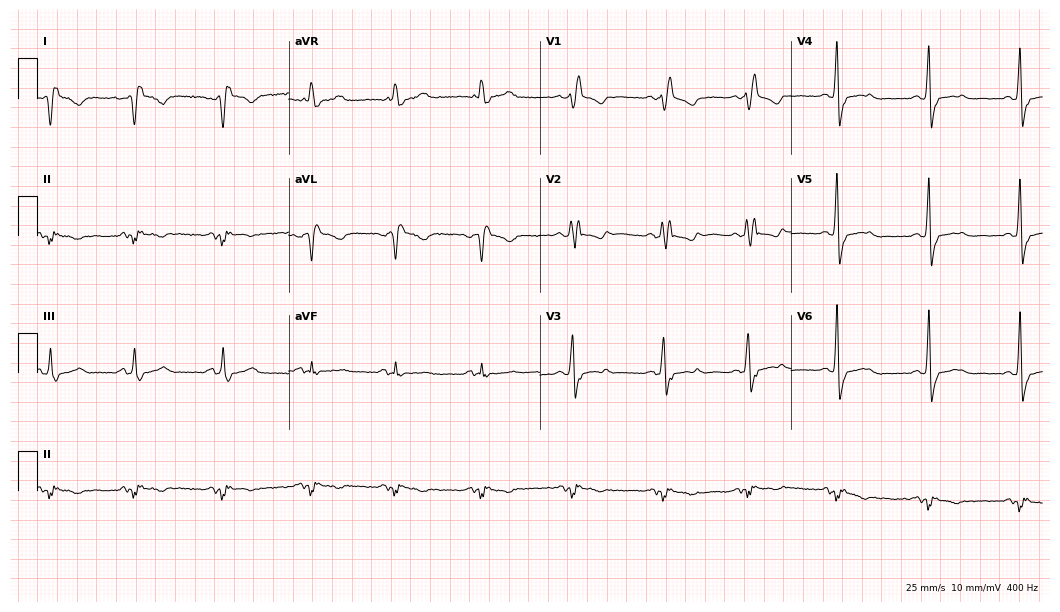
12-lead ECG (10.2-second recording at 400 Hz) from a 54-year-old woman. Screened for six findings — first-degree AV block, right bundle branch block, left bundle branch block, sinus bradycardia, atrial fibrillation, sinus tachycardia — none is recorded. Other findings, if any, are not listed.